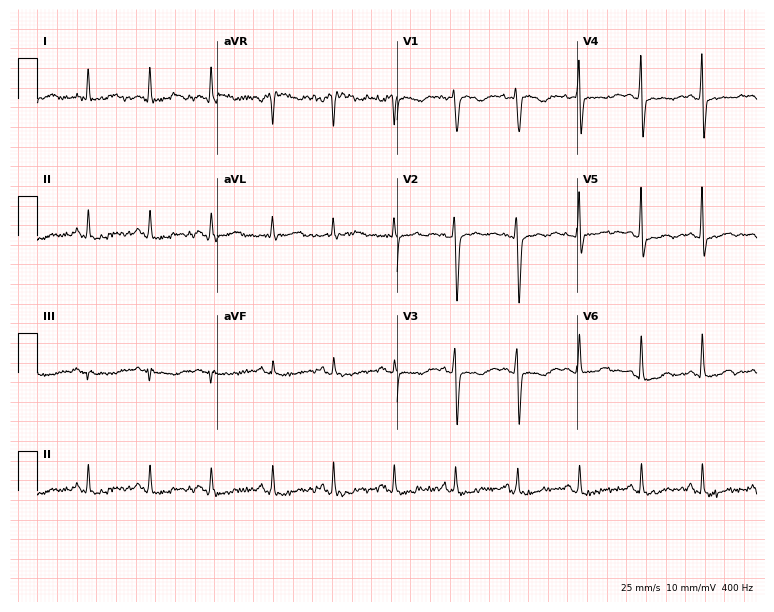
ECG — a woman, 54 years old. Screened for six findings — first-degree AV block, right bundle branch block (RBBB), left bundle branch block (LBBB), sinus bradycardia, atrial fibrillation (AF), sinus tachycardia — none is recorded. Only these six findings were labelled.